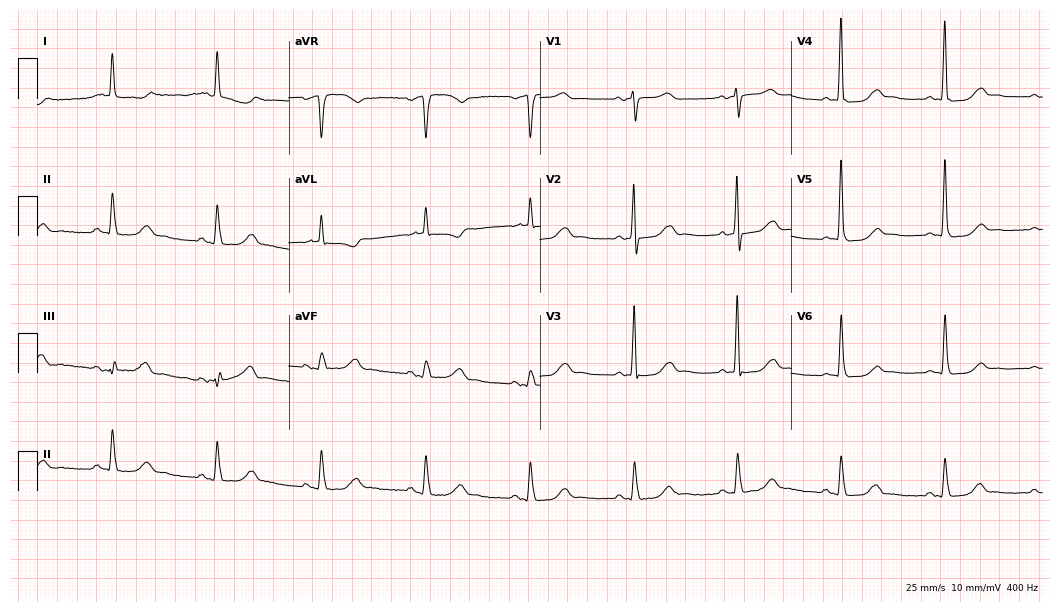
Resting 12-lead electrocardiogram. Patient: an 83-year-old female. None of these six findings is recorded: first-degree AV block, right bundle branch block, left bundle branch block, sinus bradycardia, atrial fibrillation, sinus tachycardia.